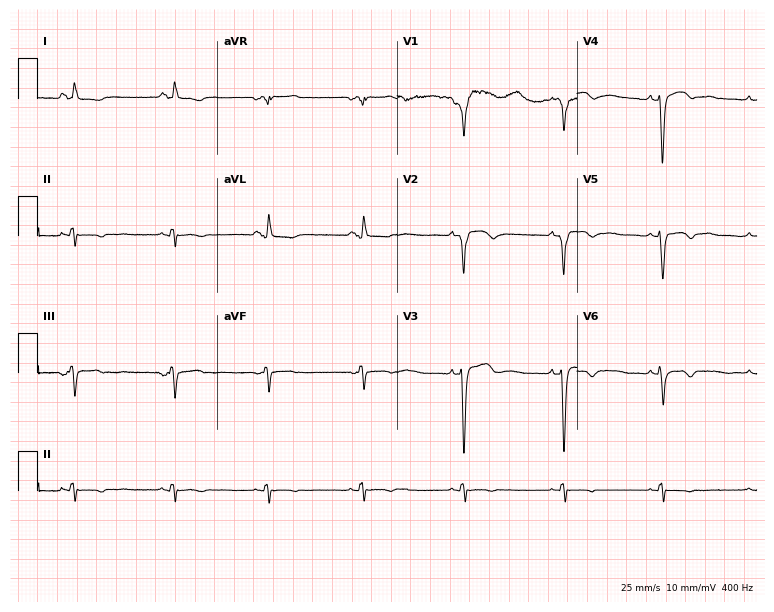
ECG (7.3-second recording at 400 Hz) — a male patient, 60 years old. Screened for six findings — first-degree AV block, right bundle branch block, left bundle branch block, sinus bradycardia, atrial fibrillation, sinus tachycardia — none is recorded. Only these six findings were labelled.